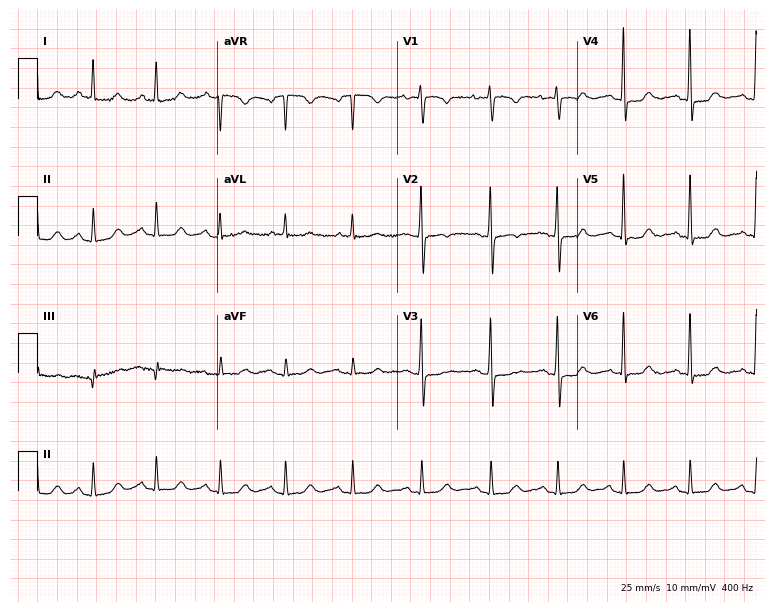
Resting 12-lead electrocardiogram (7.3-second recording at 400 Hz). Patient: a 49-year-old female. None of these six findings is recorded: first-degree AV block, right bundle branch block, left bundle branch block, sinus bradycardia, atrial fibrillation, sinus tachycardia.